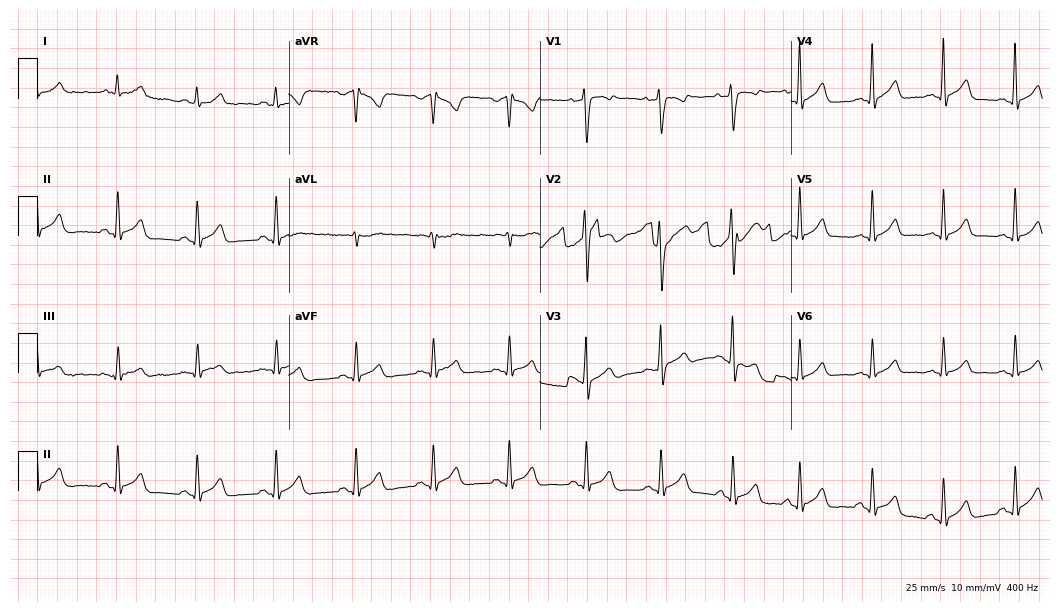
12-lead ECG from a male, 27 years old (10.2-second recording at 400 Hz). Recorded interpretation: within normal limits.